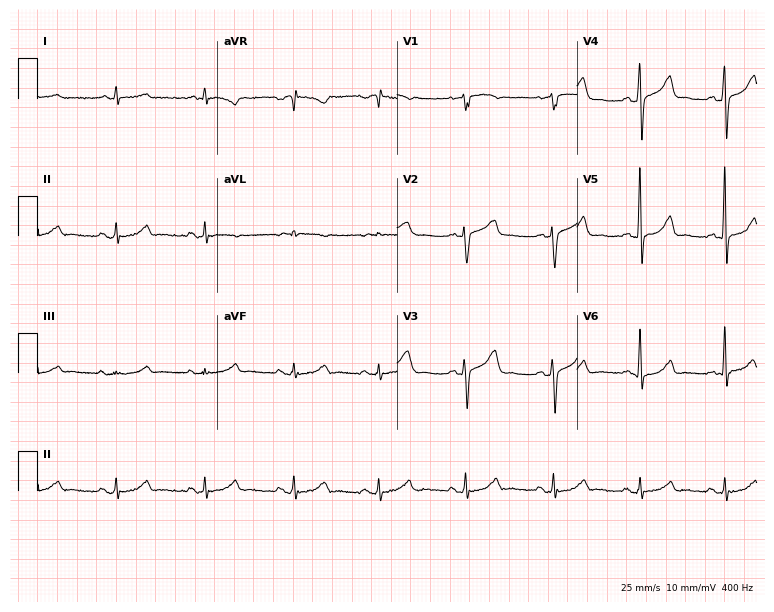
12-lead ECG from a 76-year-old male patient. Labelled as a normal ECG.